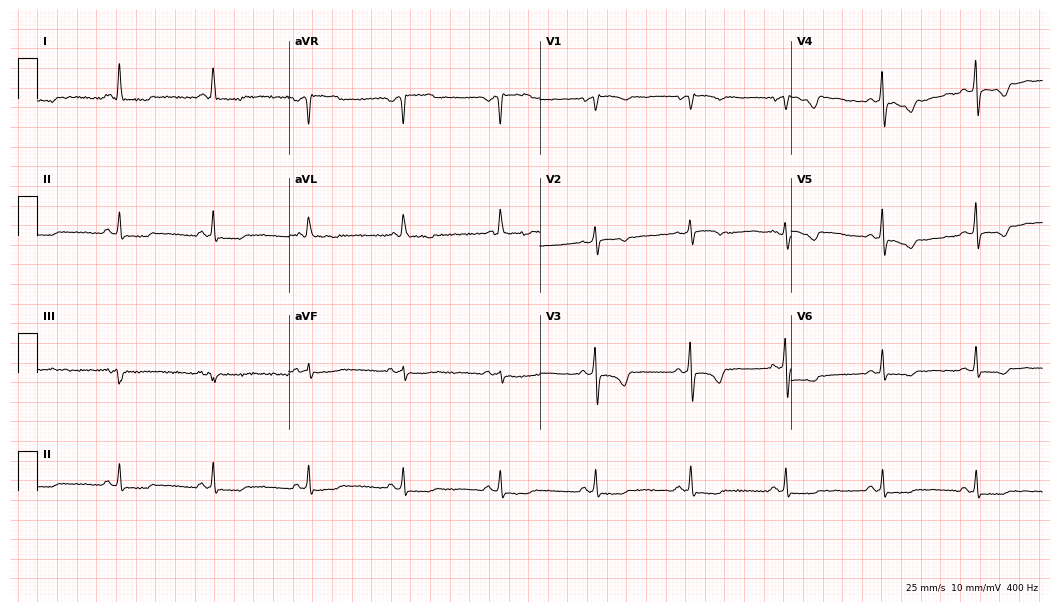
ECG — a female, 76 years old. Screened for six findings — first-degree AV block, right bundle branch block, left bundle branch block, sinus bradycardia, atrial fibrillation, sinus tachycardia — none is recorded.